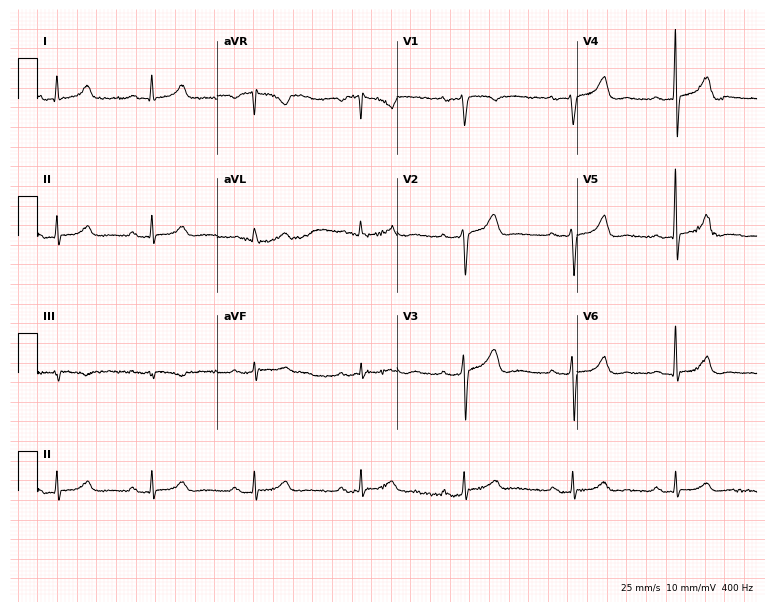
12-lead ECG (7.3-second recording at 400 Hz) from a woman, 60 years old. Labelled as a normal ECG.